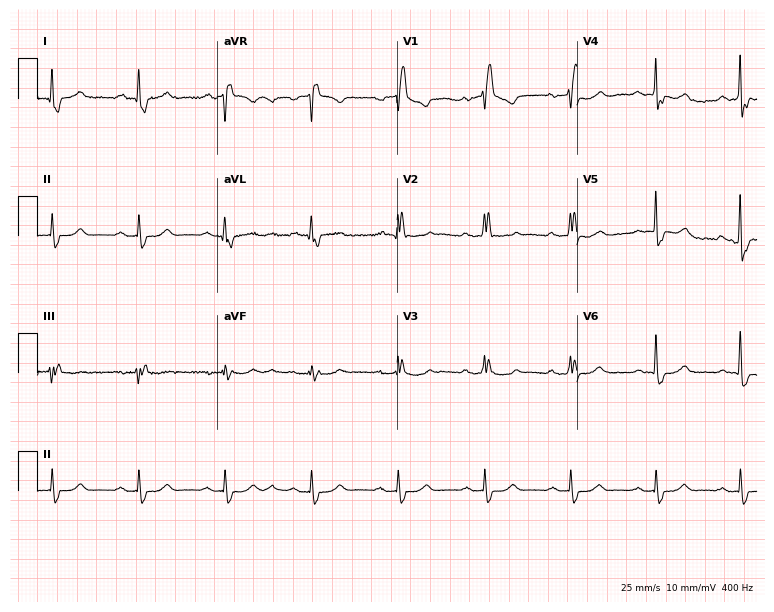
Resting 12-lead electrocardiogram. Patient: a man, 72 years old. None of these six findings is recorded: first-degree AV block, right bundle branch block, left bundle branch block, sinus bradycardia, atrial fibrillation, sinus tachycardia.